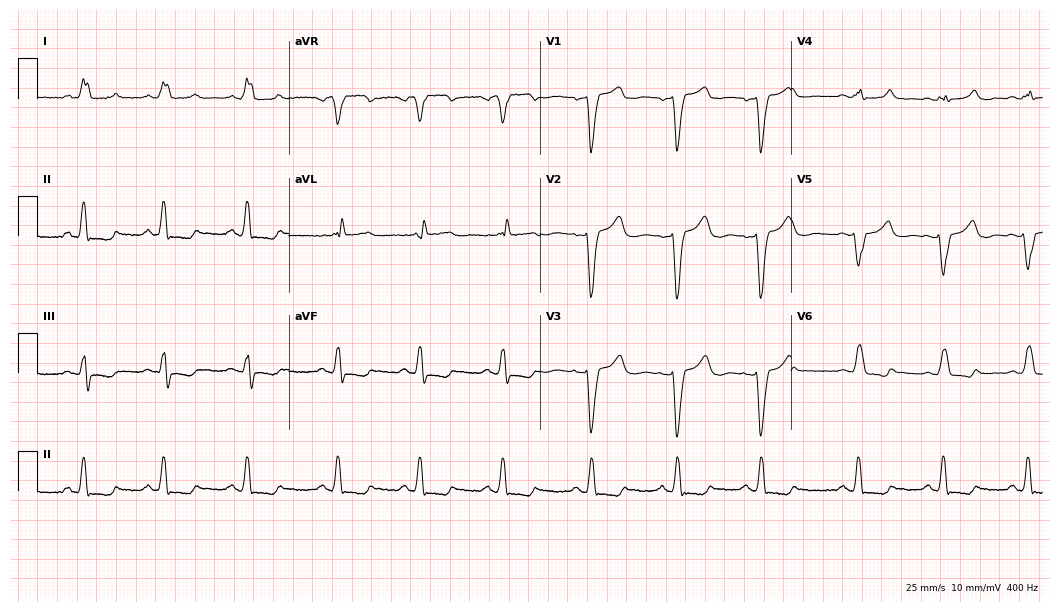
Resting 12-lead electrocardiogram (10.2-second recording at 400 Hz). Patient: a woman, 39 years old. The tracing shows left bundle branch block.